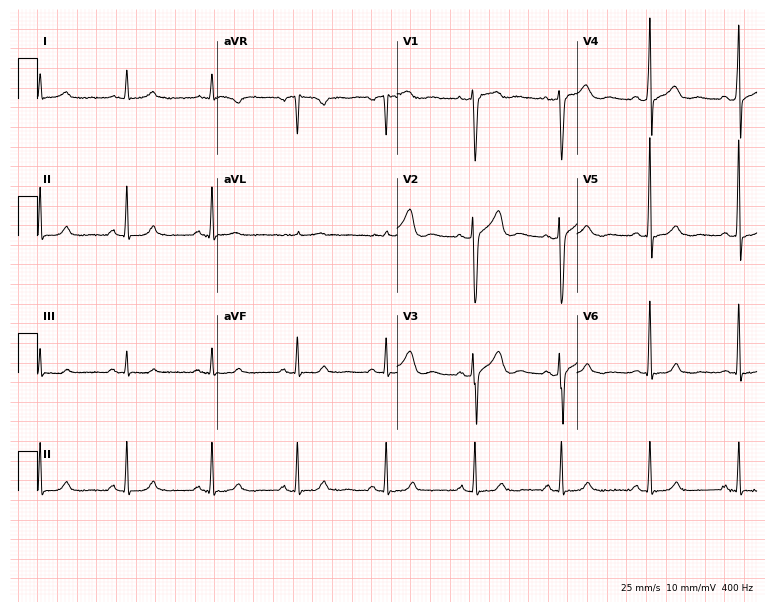
Standard 12-lead ECG recorded from a male patient, 55 years old (7.3-second recording at 400 Hz). Read as a normal ECG.